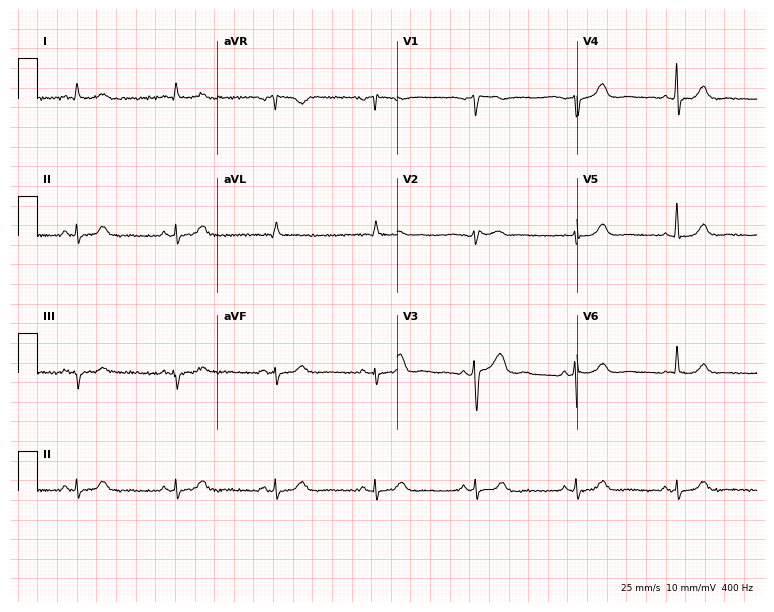
Standard 12-lead ECG recorded from a 77-year-old male (7.3-second recording at 400 Hz). None of these six findings is recorded: first-degree AV block, right bundle branch block, left bundle branch block, sinus bradycardia, atrial fibrillation, sinus tachycardia.